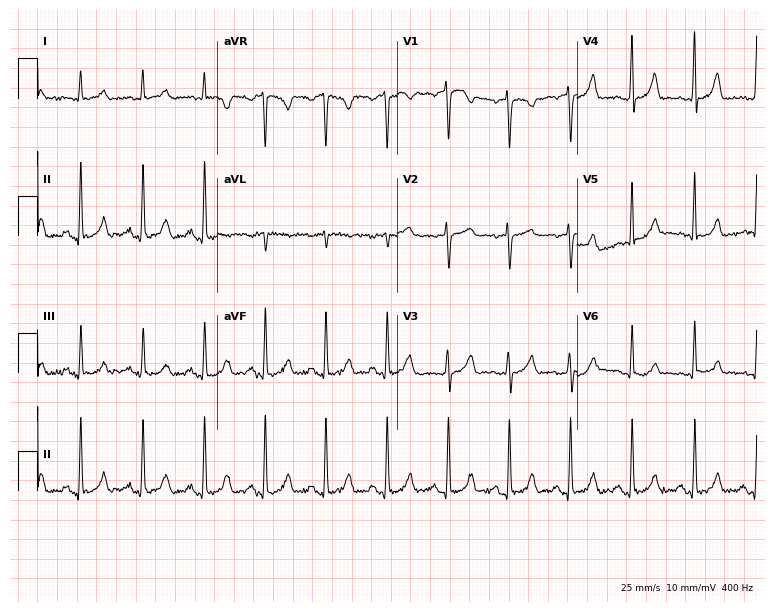
Electrocardiogram, a 60-year-old male patient. Of the six screened findings (first-degree AV block, right bundle branch block, left bundle branch block, sinus bradycardia, atrial fibrillation, sinus tachycardia), none is recorded. Findings outside these six are not listed.